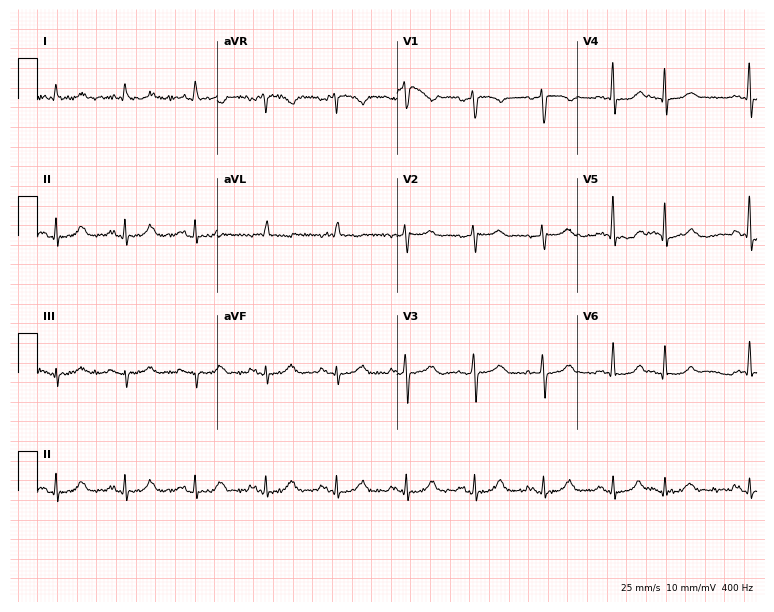
12-lead ECG from a 68-year-old woman. Recorded interpretation: within normal limits.